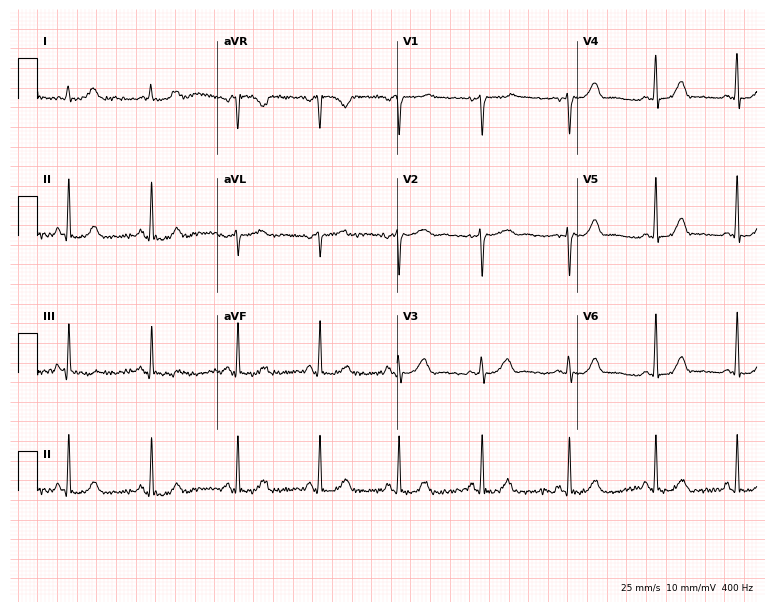
12-lead ECG from a 38-year-old female patient (7.3-second recording at 400 Hz). Recorded interpretation: within normal limits.